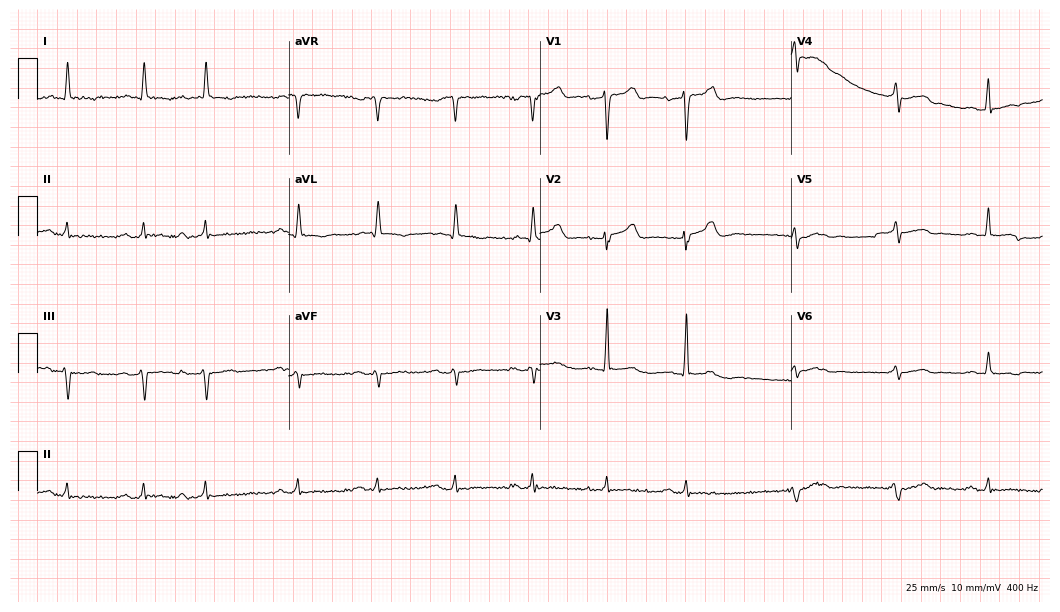
12-lead ECG (10.2-second recording at 400 Hz) from a female patient, 86 years old. Screened for six findings — first-degree AV block, right bundle branch block, left bundle branch block, sinus bradycardia, atrial fibrillation, sinus tachycardia — none is recorded. Findings outside these six are not listed.